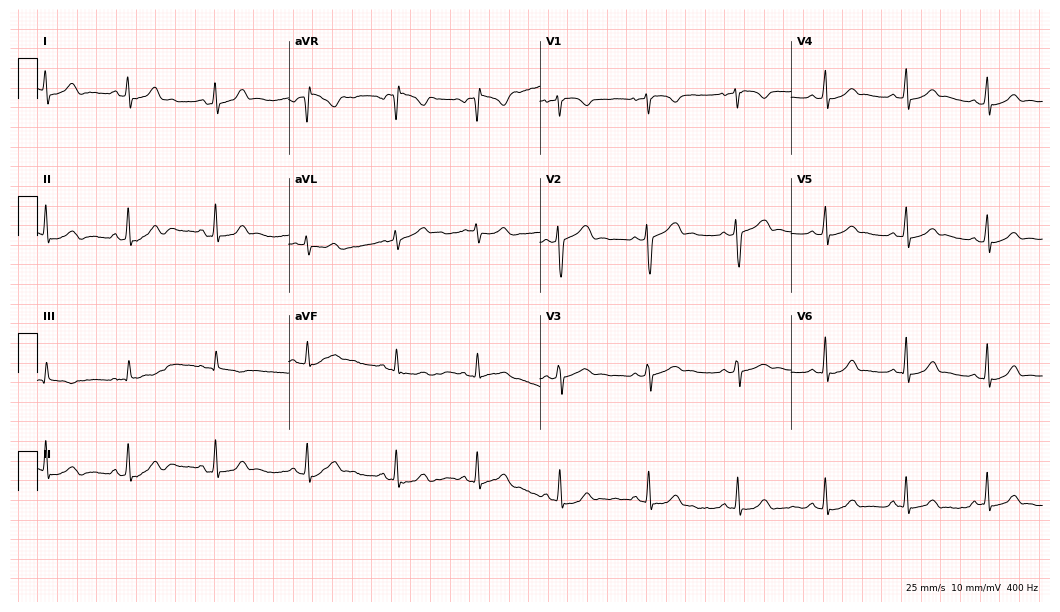
12-lead ECG from a female patient, 18 years old. No first-degree AV block, right bundle branch block, left bundle branch block, sinus bradycardia, atrial fibrillation or sinus tachycardia recorded for this tracing. Findings outside these six are not listed.